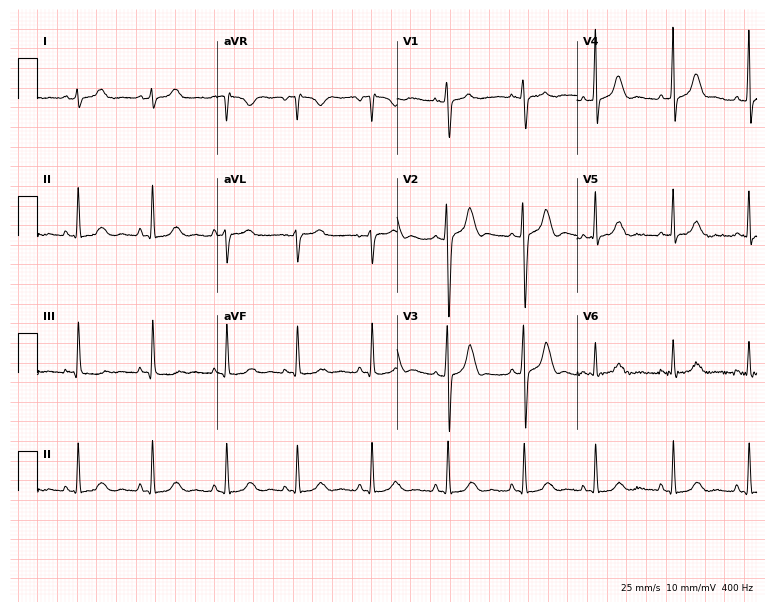
12-lead ECG from a 26-year-old female. No first-degree AV block, right bundle branch block, left bundle branch block, sinus bradycardia, atrial fibrillation or sinus tachycardia recorded for this tracing.